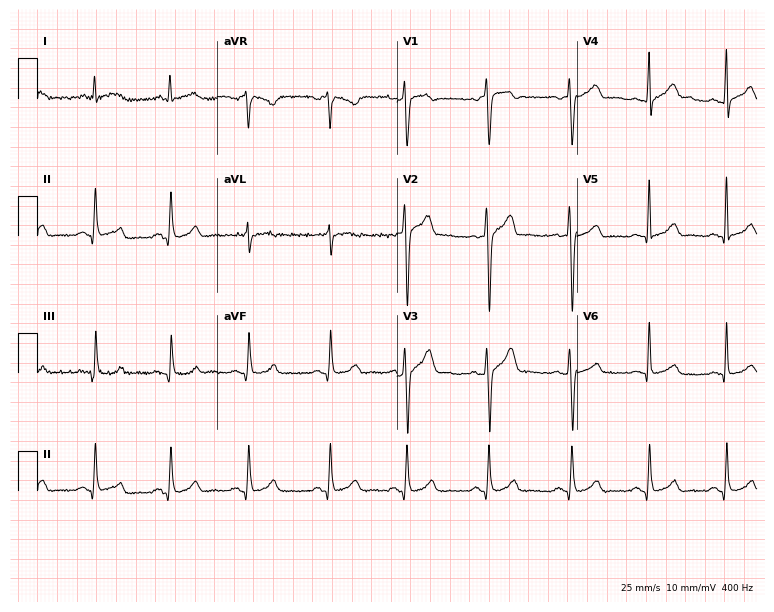
12-lead ECG from a male, 49 years old. Labelled as a normal ECG.